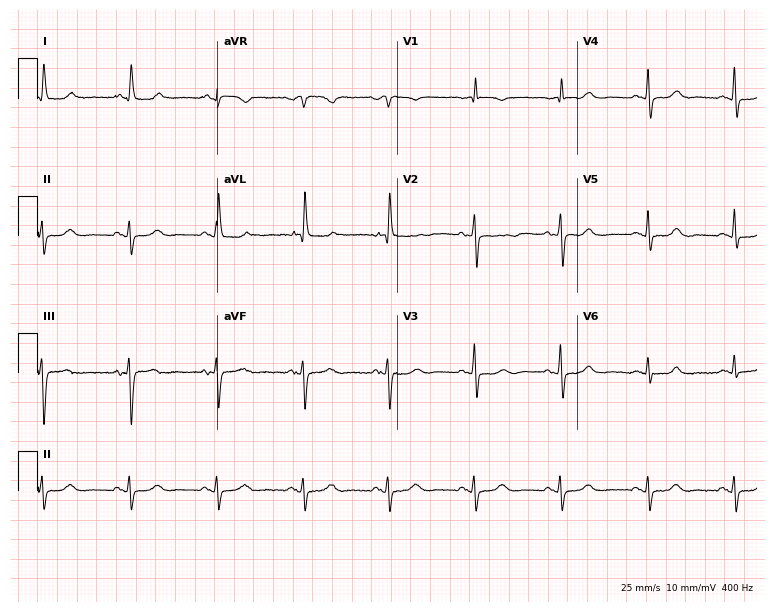
Standard 12-lead ECG recorded from an 85-year-old male patient. None of these six findings is recorded: first-degree AV block, right bundle branch block, left bundle branch block, sinus bradycardia, atrial fibrillation, sinus tachycardia.